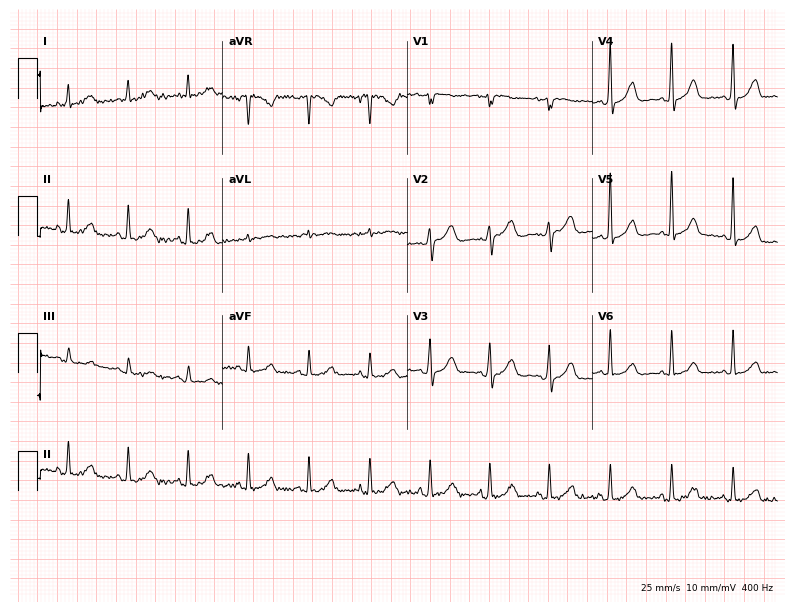
12-lead ECG from a female patient, 80 years old. Screened for six findings — first-degree AV block, right bundle branch block, left bundle branch block, sinus bradycardia, atrial fibrillation, sinus tachycardia — none is recorded.